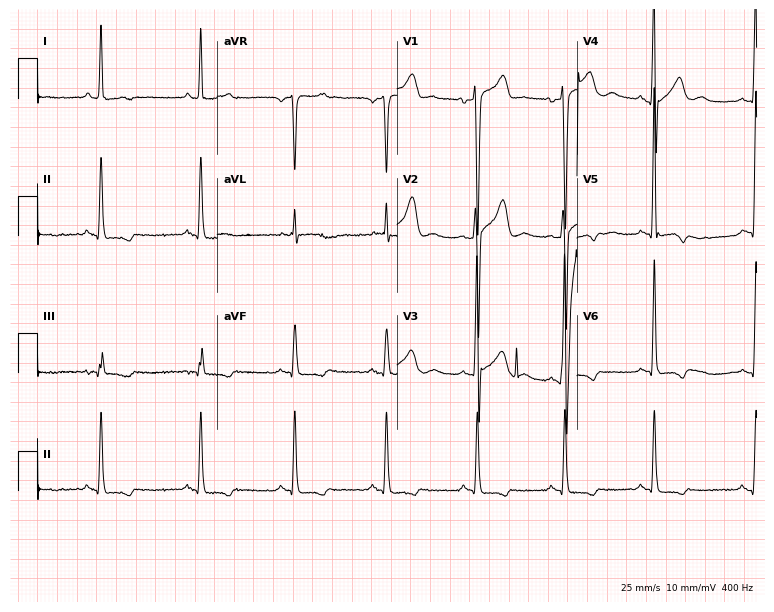
Standard 12-lead ECG recorded from a male, 50 years old (7.3-second recording at 400 Hz). None of these six findings is recorded: first-degree AV block, right bundle branch block, left bundle branch block, sinus bradycardia, atrial fibrillation, sinus tachycardia. Only these six findings were labelled.